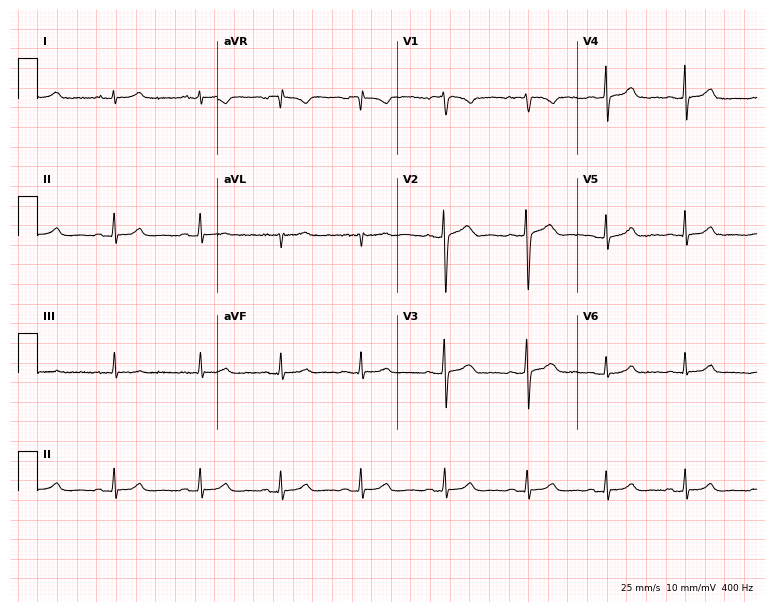
12-lead ECG from a woman, 22 years old. Screened for six findings — first-degree AV block, right bundle branch block, left bundle branch block, sinus bradycardia, atrial fibrillation, sinus tachycardia — none is recorded. Only these six findings were labelled.